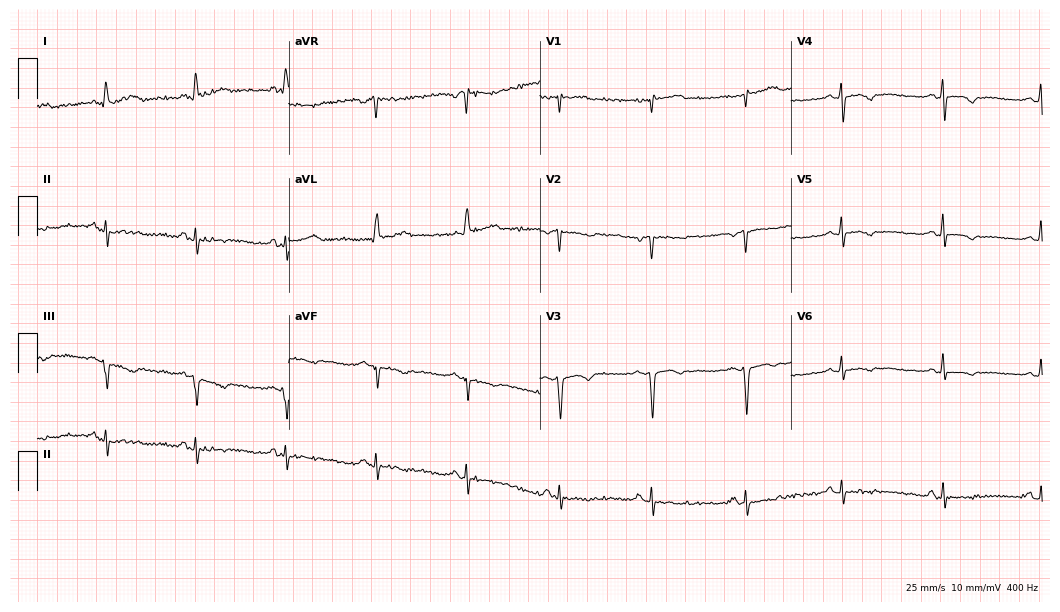
ECG — a 65-year-old female. Screened for six findings — first-degree AV block, right bundle branch block, left bundle branch block, sinus bradycardia, atrial fibrillation, sinus tachycardia — none is recorded. Findings outside these six are not listed.